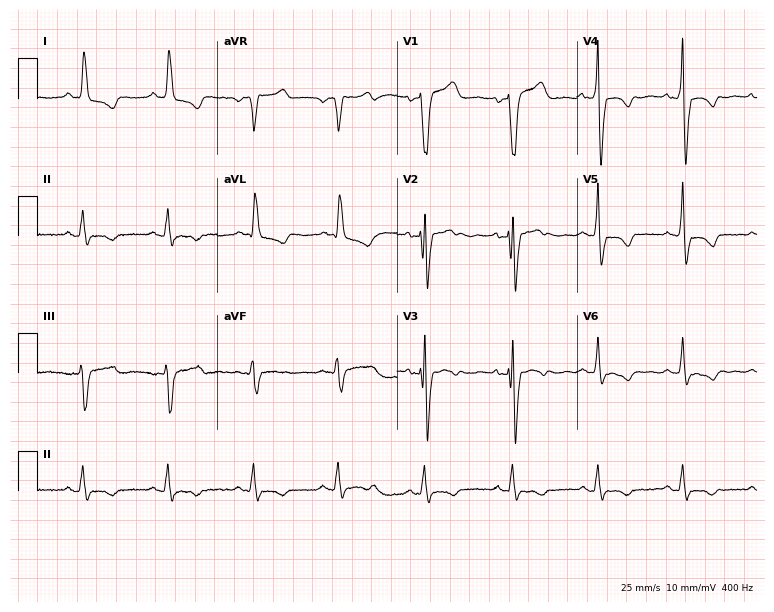
ECG (7.3-second recording at 400 Hz) — a 40-year-old female. Findings include left bundle branch block.